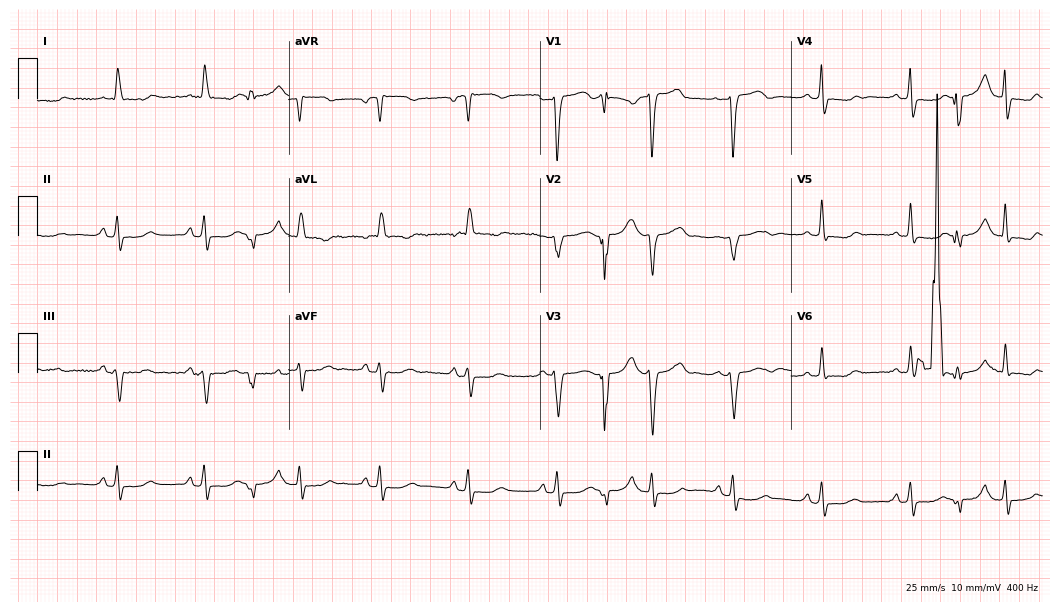
Resting 12-lead electrocardiogram. Patient: a female, 84 years old. None of these six findings is recorded: first-degree AV block, right bundle branch block (RBBB), left bundle branch block (LBBB), sinus bradycardia, atrial fibrillation (AF), sinus tachycardia. Other findings, if any, are not listed.